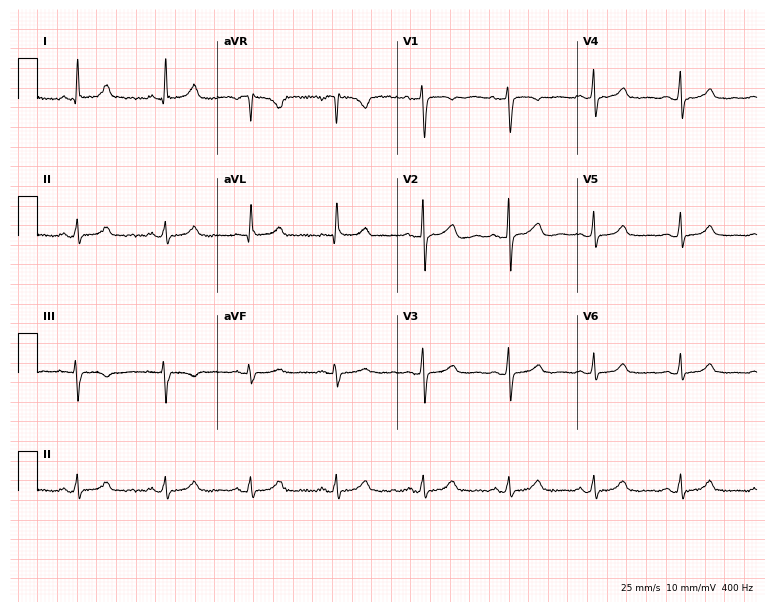
12-lead ECG from a female, 54 years old (7.3-second recording at 400 Hz). Recorded interpretation: within normal limits.